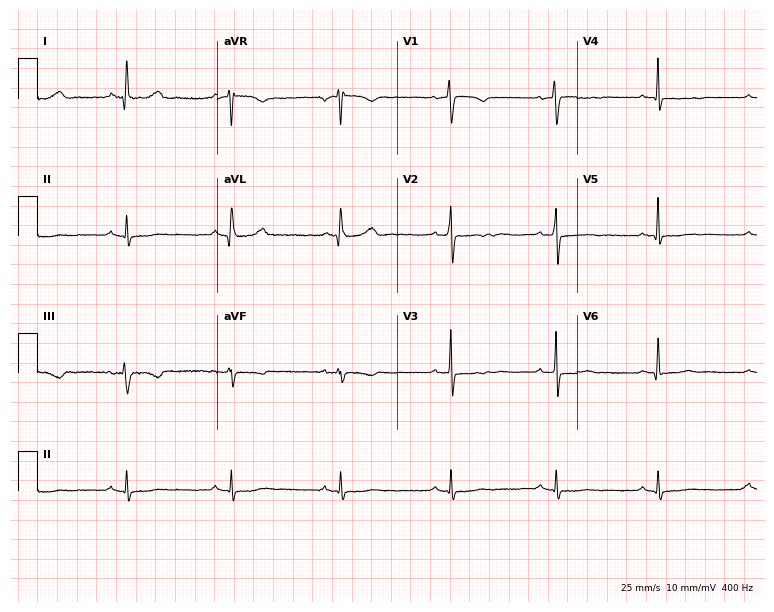
Electrocardiogram (7.3-second recording at 400 Hz), a female patient, 46 years old. Of the six screened findings (first-degree AV block, right bundle branch block (RBBB), left bundle branch block (LBBB), sinus bradycardia, atrial fibrillation (AF), sinus tachycardia), none is recorded.